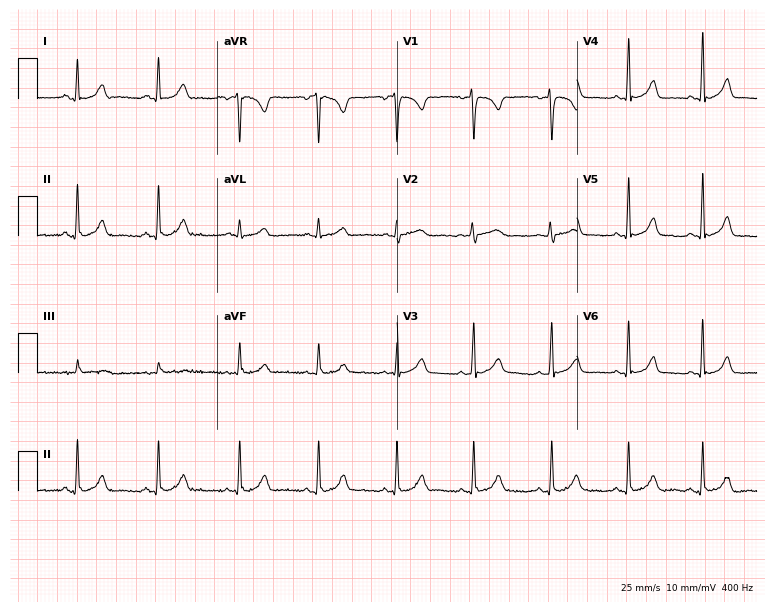
12-lead ECG (7.3-second recording at 400 Hz) from a female, 26 years old. Labelled as a normal ECG.